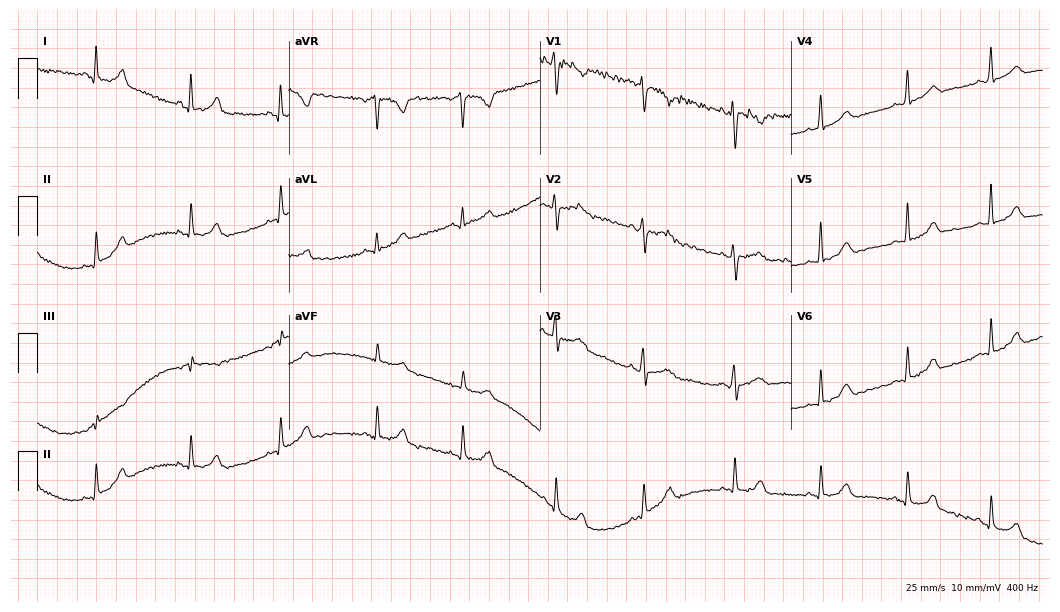
Resting 12-lead electrocardiogram. Patient: a 29-year-old woman. Read as a normal ECG.